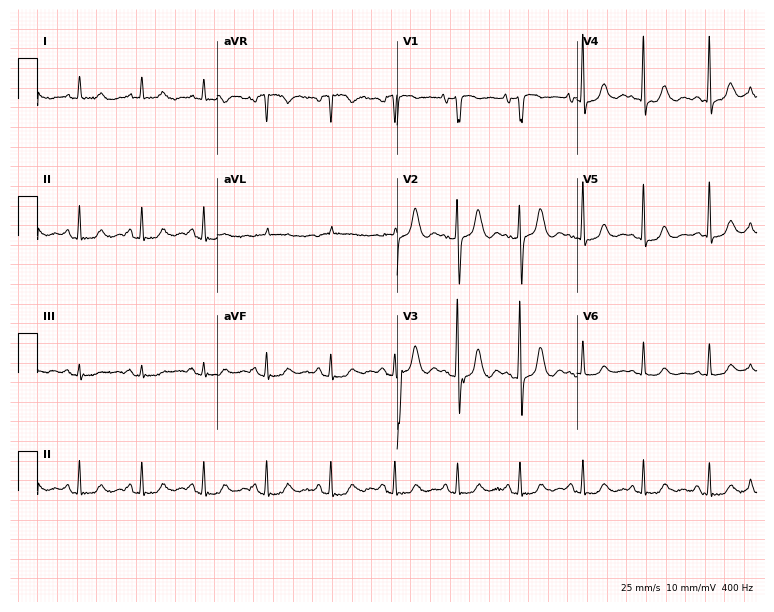
12-lead ECG from an 83-year-old female (7.3-second recording at 400 Hz). No first-degree AV block, right bundle branch block, left bundle branch block, sinus bradycardia, atrial fibrillation or sinus tachycardia recorded for this tracing.